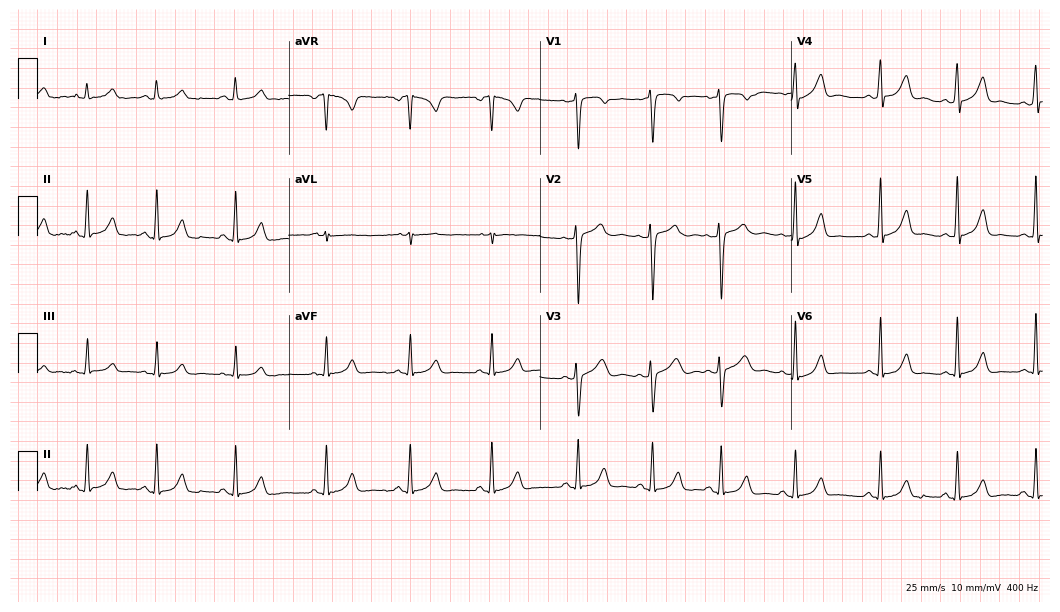
ECG (10.2-second recording at 400 Hz) — a 32-year-old female patient. Screened for six findings — first-degree AV block, right bundle branch block, left bundle branch block, sinus bradycardia, atrial fibrillation, sinus tachycardia — none is recorded.